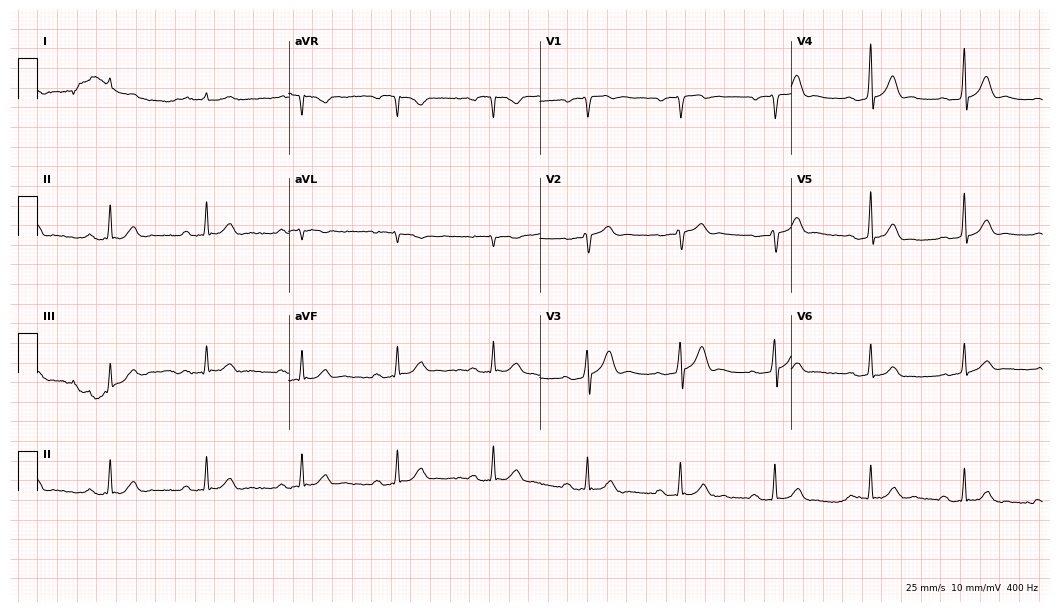
12-lead ECG from a 52-year-old male patient. No first-degree AV block, right bundle branch block (RBBB), left bundle branch block (LBBB), sinus bradycardia, atrial fibrillation (AF) or sinus tachycardia recorded for this tracing. Only these six findings were labelled.